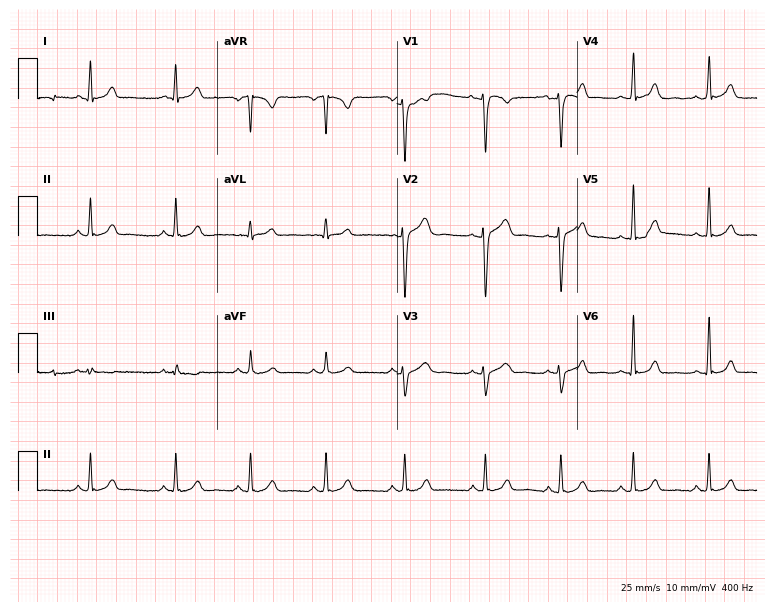
Electrocardiogram, a female, 28 years old. Overall reading on record: normal ECG.